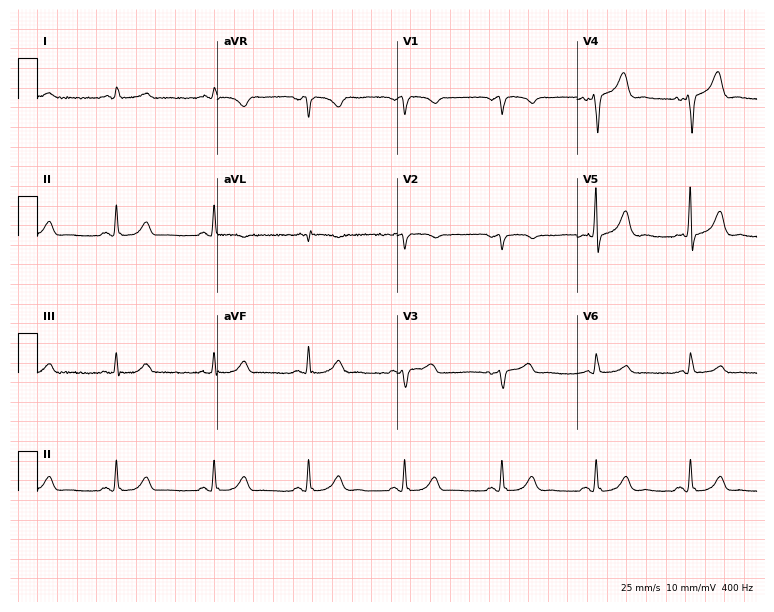
12-lead ECG from a 49-year-old male. No first-degree AV block, right bundle branch block, left bundle branch block, sinus bradycardia, atrial fibrillation or sinus tachycardia recorded for this tracing.